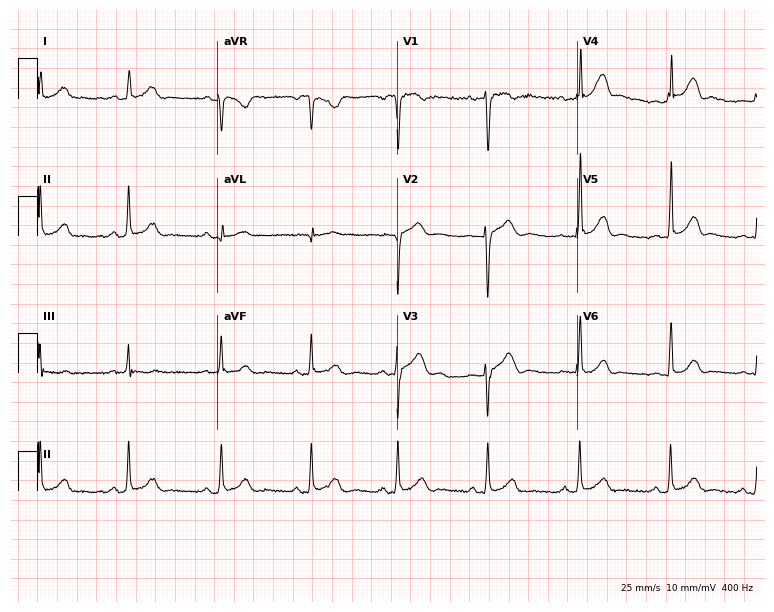
12-lead ECG from a 28-year-old female patient. No first-degree AV block, right bundle branch block, left bundle branch block, sinus bradycardia, atrial fibrillation or sinus tachycardia recorded for this tracing. Findings outside these six are not listed.